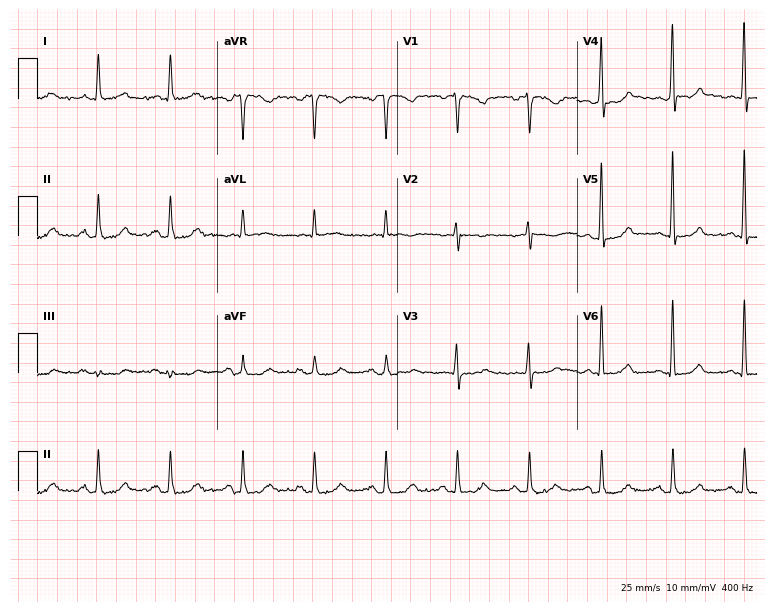
Standard 12-lead ECG recorded from a woman, 42 years old (7.3-second recording at 400 Hz). Read as a normal ECG.